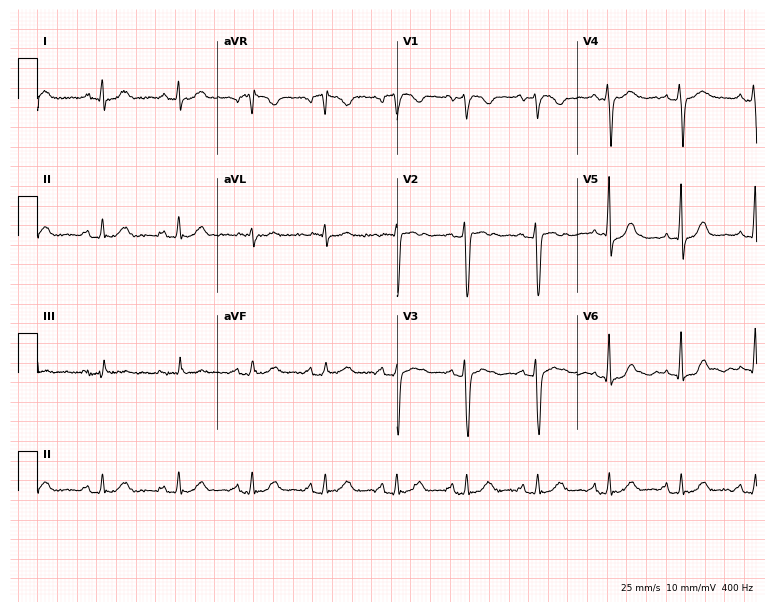
Resting 12-lead electrocardiogram (7.3-second recording at 400 Hz). Patient: a female, 51 years old. None of these six findings is recorded: first-degree AV block, right bundle branch block, left bundle branch block, sinus bradycardia, atrial fibrillation, sinus tachycardia. Other findings, if any, are not listed.